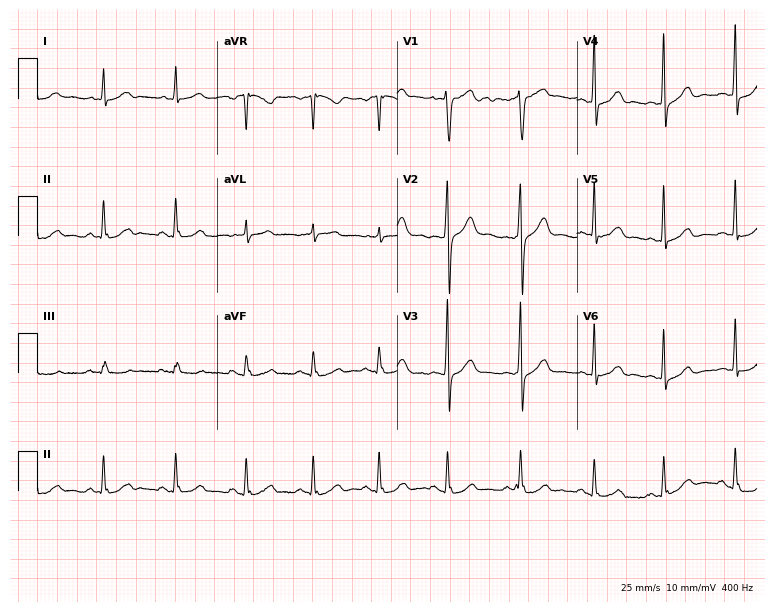
ECG (7.3-second recording at 400 Hz) — a male, 29 years old. Screened for six findings — first-degree AV block, right bundle branch block, left bundle branch block, sinus bradycardia, atrial fibrillation, sinus tachycardia — none is recorded.